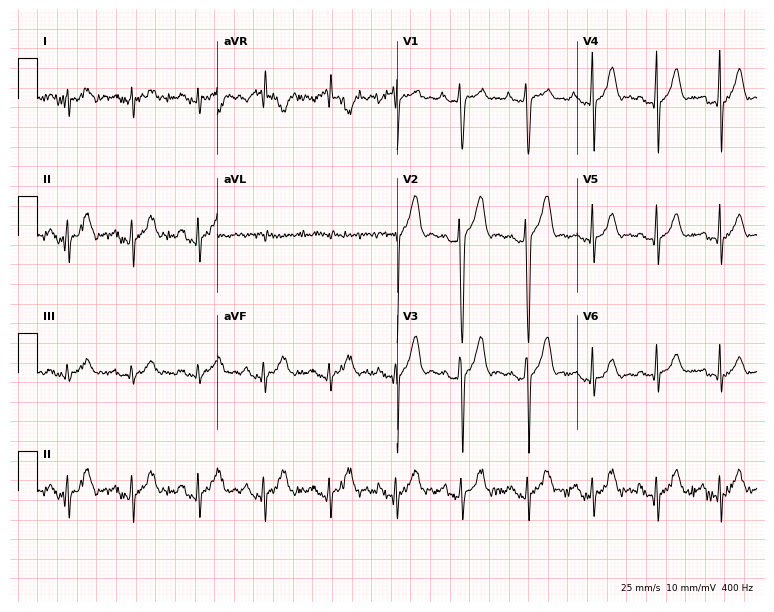
12-lead ECG from a 32-year-old male patient. No first-degree AV block, right bundle branch block, left bundle branch block, sinus bradycardia, atrial fibrillation or sinus tachycardia recorded for this tracing.